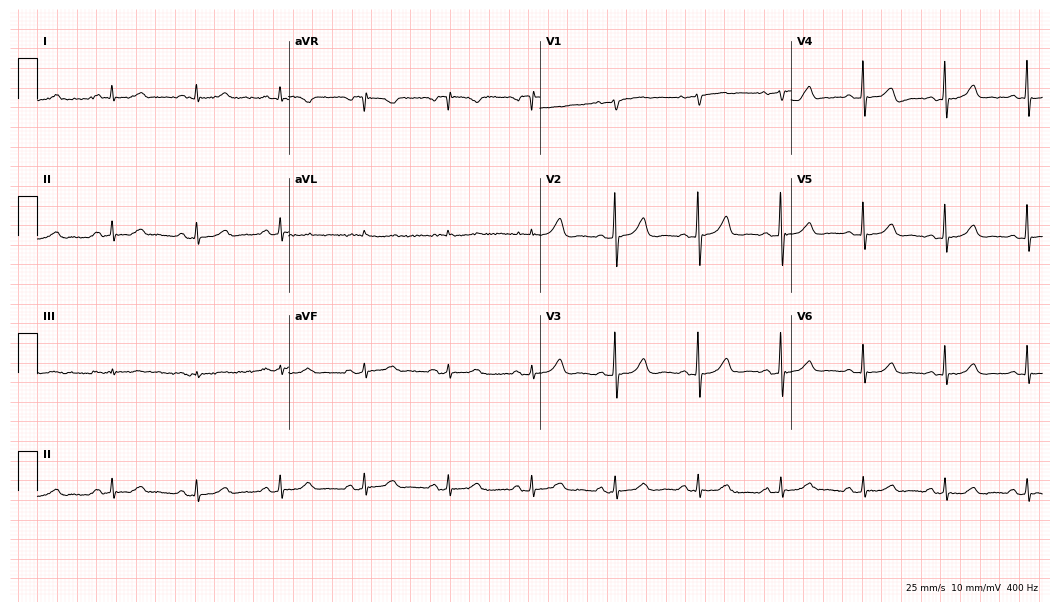
12-lead ECG from a woman, 83 years old. Labelled as a normal ECG.